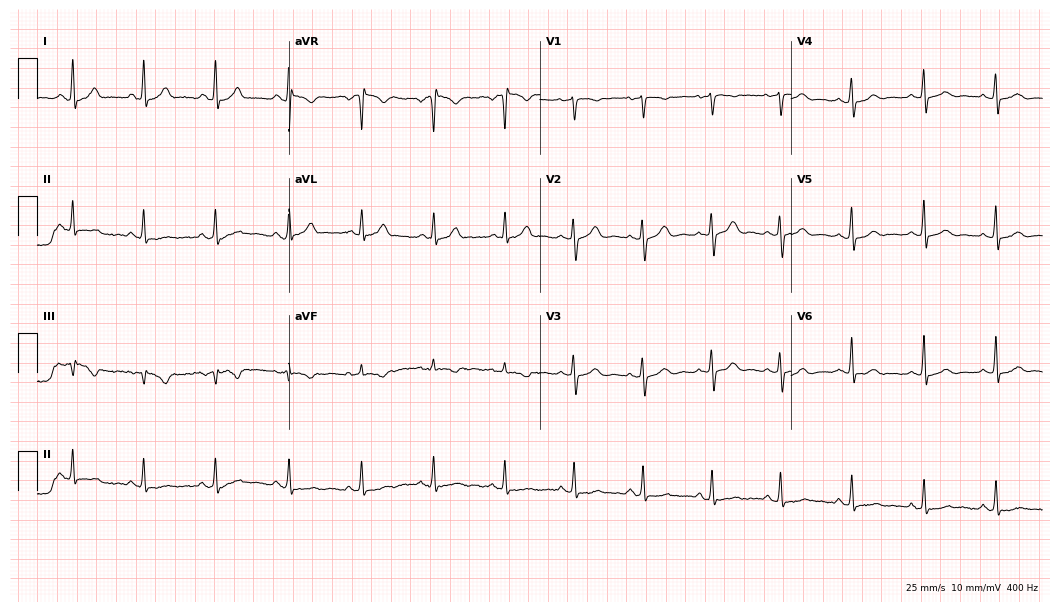
Electrocardiogram (10.2-second recording at 400 Hz), a woman, 25 years old. Of the six screened findings (first-degree AV block, right bundle branch block, left bundle branch block, sinus bradycardia, atrial fibrillation, sinus tachycardia), none is recorded. Only these six findings were labelled.